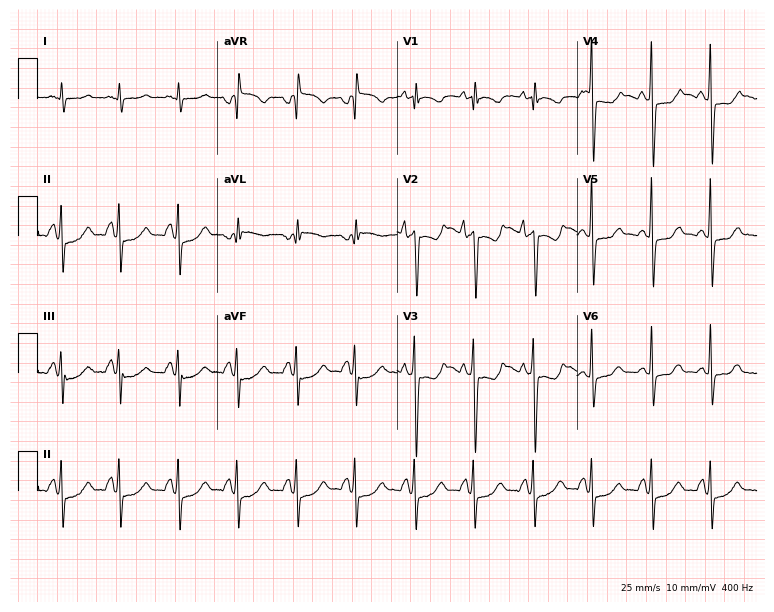
Electrocardiogram, a female, 47 years old. Of the six screened findings (first-degree AV block, right bundle branch block, left bundle branch block, sinus bradycardia, atrial fibrillation, sinus tachycardia), none is recorded.